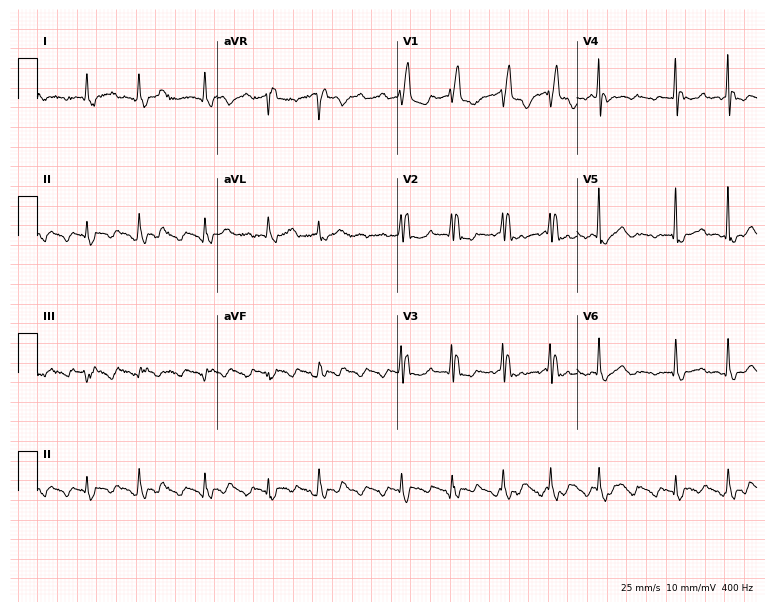
Standard 12-lead ECG recorded from a 76-year-old male. The tracing shows right bundle branch block (RBBB).